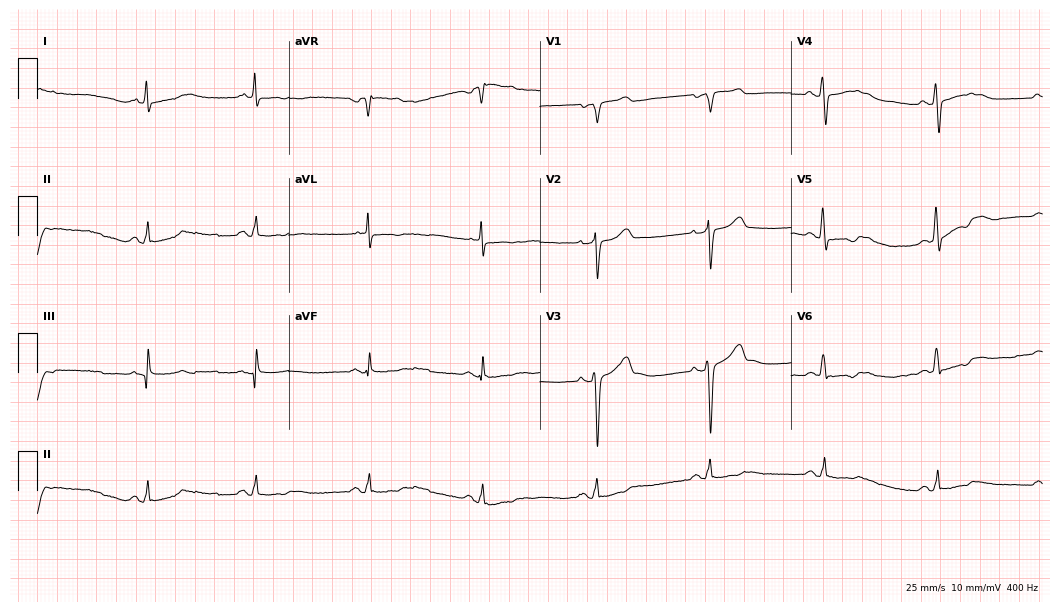
Resting 12-lead electrocardiogram. Patient: a male, 54 years old. None of these six findings is recorded: first-degree AV block, right bundle branch block, left bundle branch block, sinus bradycardia, atrial fibrillation, sinus tachycardia. Findings outside these six are not listed.